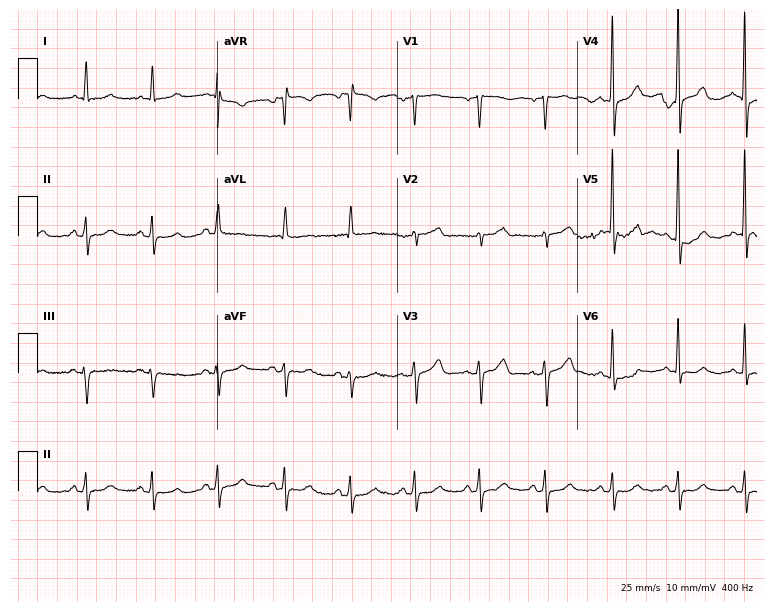
12-lead ECG from a female patient, 69 years old. Recorded interpretation: within normal limits.